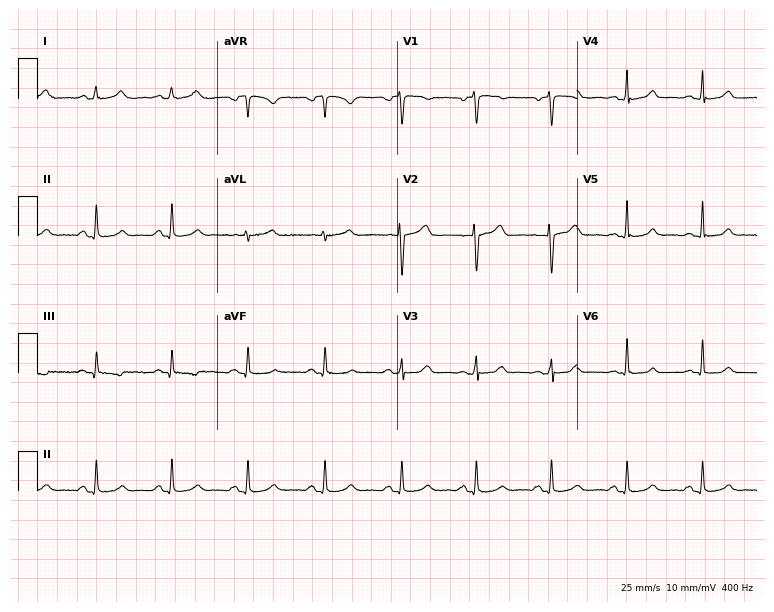
Electrocardiogram, a 45-year-old female patient. Overall reading on record: normal ECG.